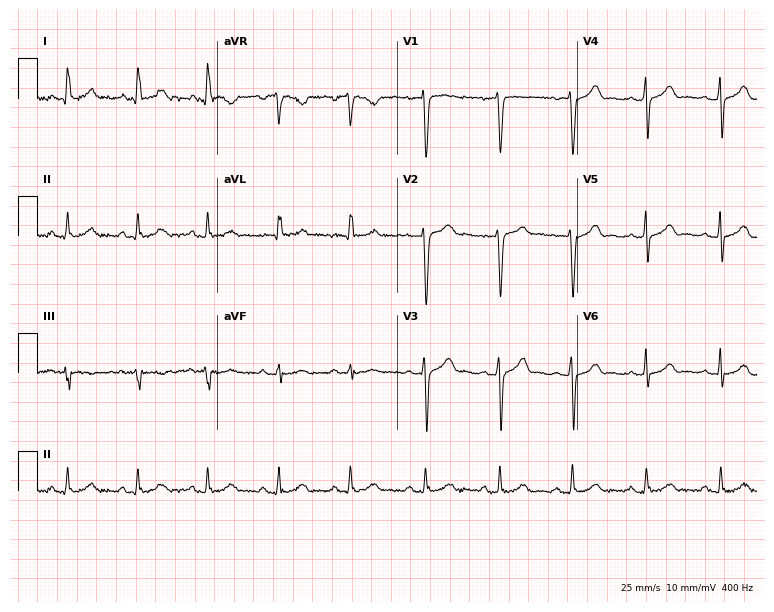
ECG (7.3-second recording at 400 Hz) — a woman, 20 years old. Labelled as a normal ECG.